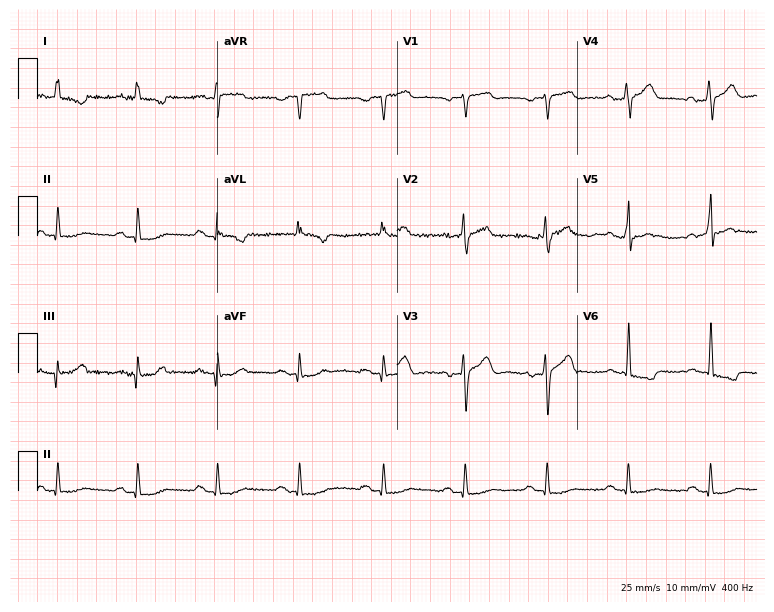
ECG — a 66-year-old male patient. Screened for six findings — first-degree AV block, right bundle branch block, left bundle branch block, sinus bradycardia, atrial fibrillation, sinus tachycardia — none is recorded. Other findings, if any, are not listed.